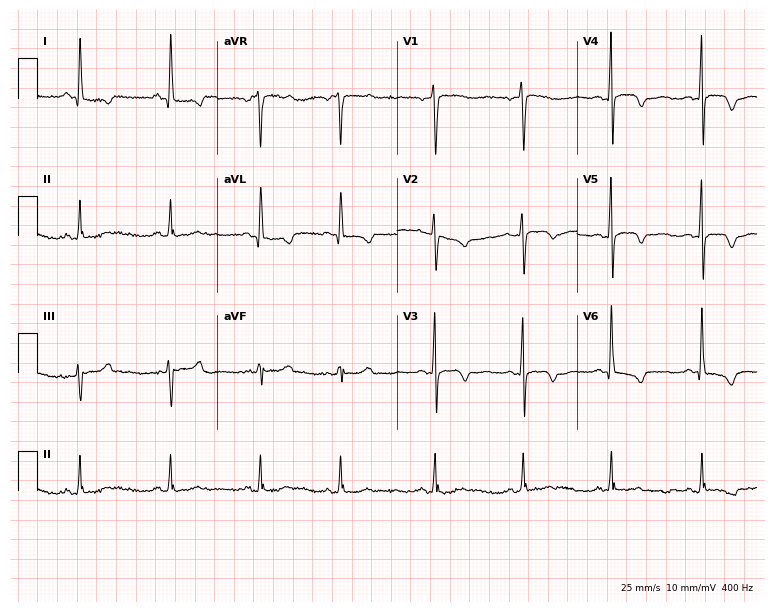
Resting 12-lead electrocardiogram (7.3-second recording at 400 Hz). Patient: a 63-year-old female. None of these six findings is recorded: first-degree AV block, right bundle branch block (RBBB), left bundle branch block (LBBB), sinus bradycardia, atrial fibrillation (AF), sinus tachycardia. Other findings, if any, are not listed.